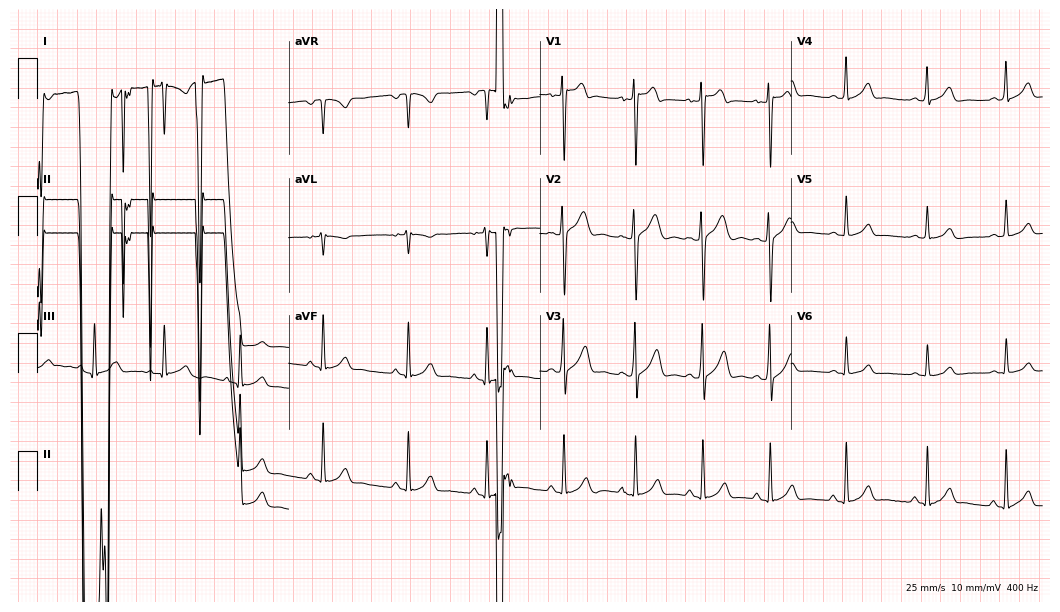
12-lead ECG from a male patient, 24 years old. Recorded interpretation: within normal limits.